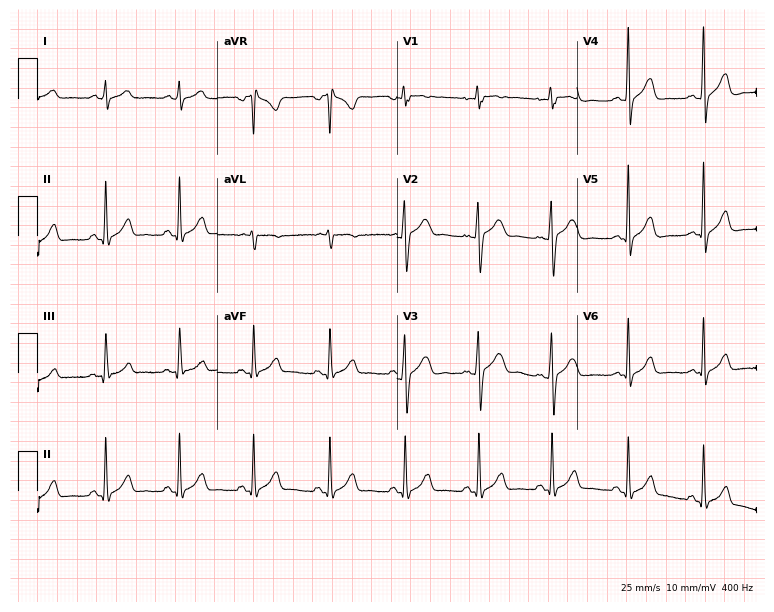
12-lead ECG (7.3-second recording at 400 Hz) from a male patient, 39 years old. Labelled as a normal ECG.